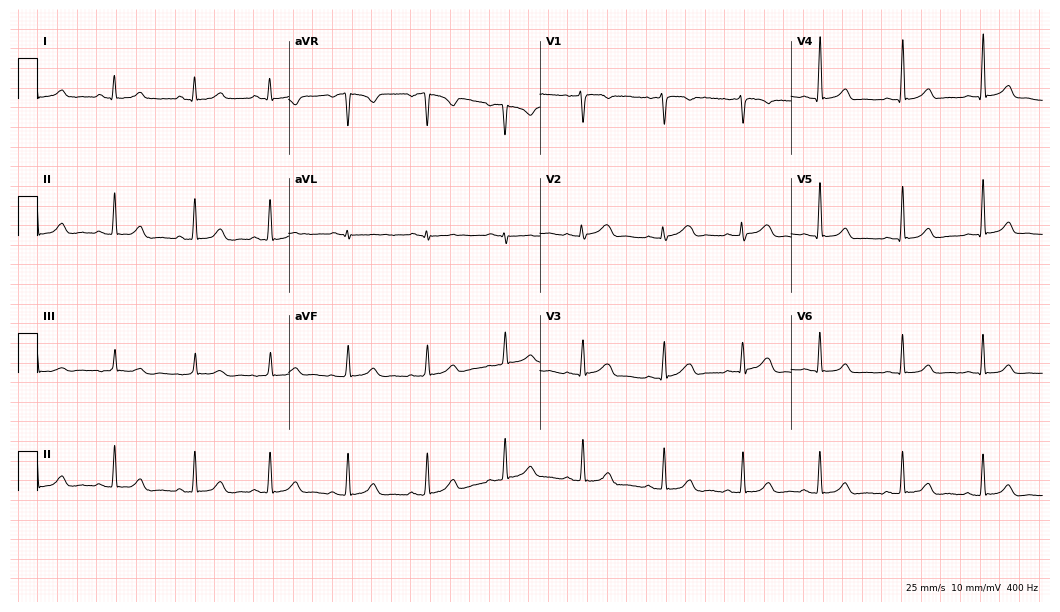
Electrocardiogram, a female patient, 27 years old. Overall reading on record: normal ECG.